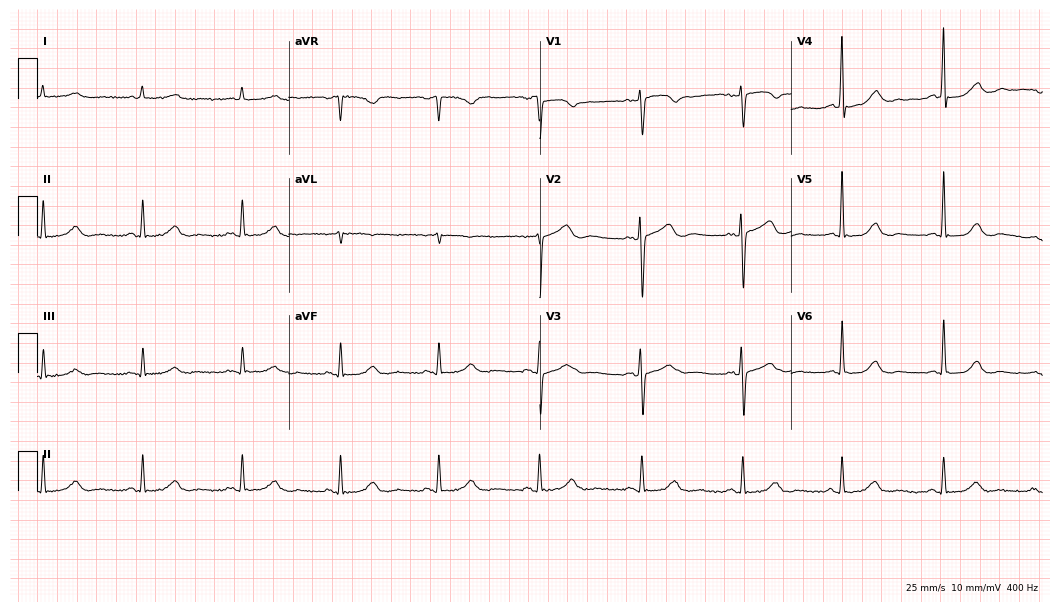
Standard 12-lead ECG recorded from a female patient, 55 years old. Read as a normal ECG.